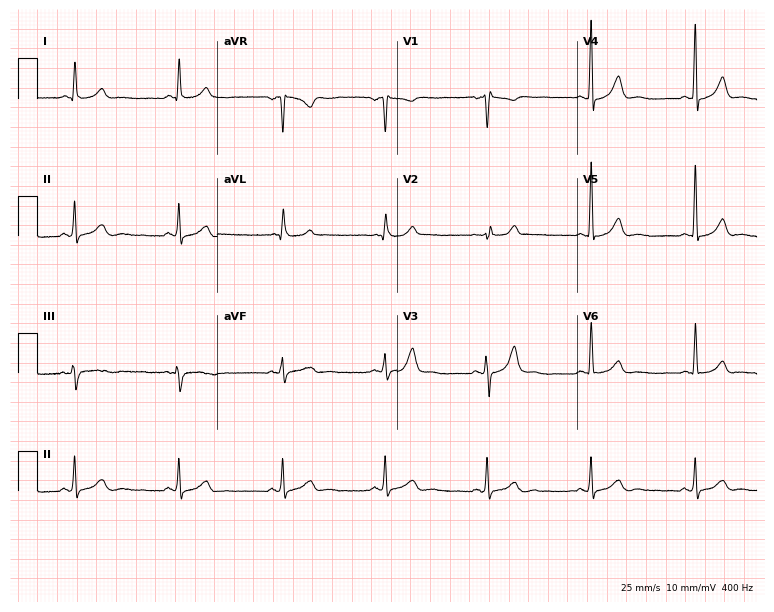
Standard 12-lead ECG recorded from a 60-year-old male patient. Read as a normal ECG.